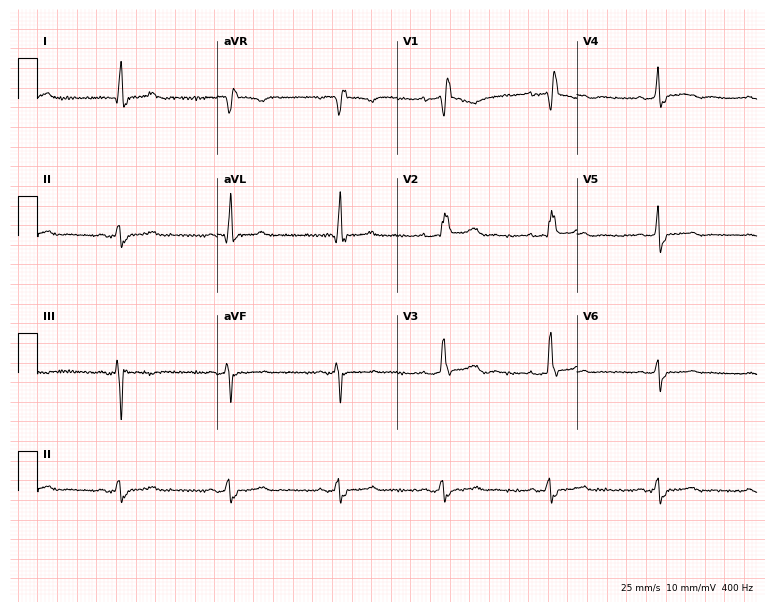
Standard 12-lead ECG recorded from a female, 75 years old (7.3-second recording at 400 Hz). The tracing shows right bundle branch block.